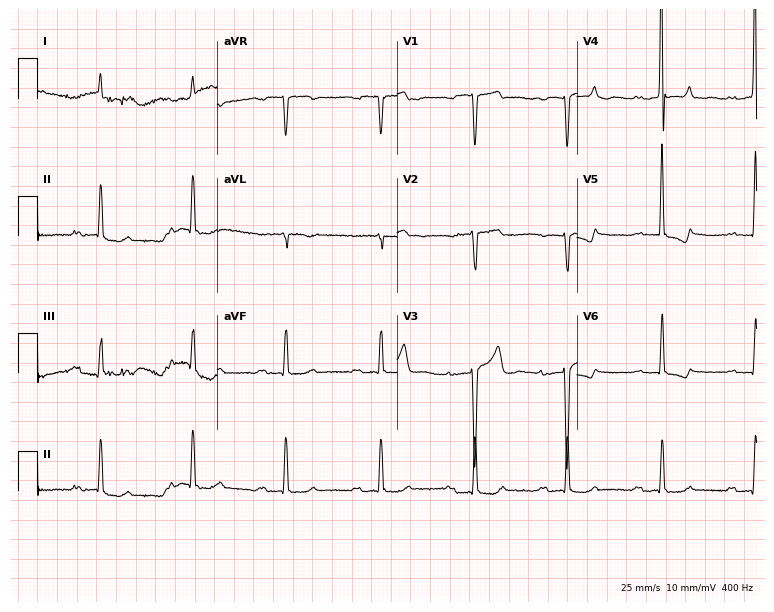
ECG — an 83-year-old male patient. Findings include first-degree AV block.